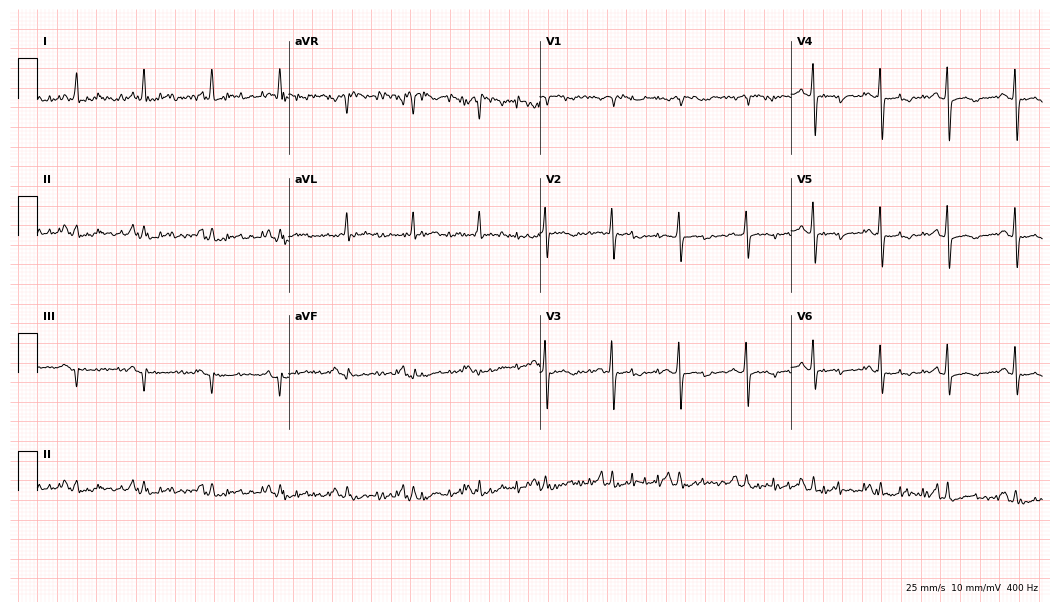
ECG (10.2-second recording at 400 Hz) — a female patient, 64 years old. Screened for six findings — first-degree AV block, right bundle branch block (RBBB), left bundle branch block (LBBB), sinus bradycardia, atrial fibrillation (AF), sinus tachycardia — none is recorded. Findings outside these six are not listed.